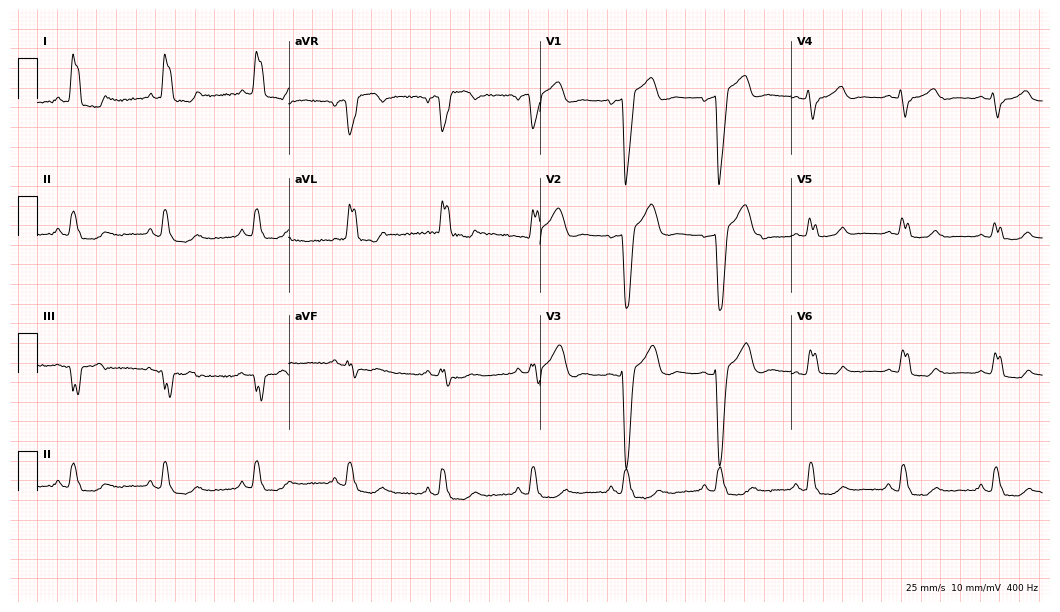
Standard 12-lead ECG recorded from a female patient, 55 years old (10.2-second recording at 400 Hz). The tracing shows left bundle branch block.